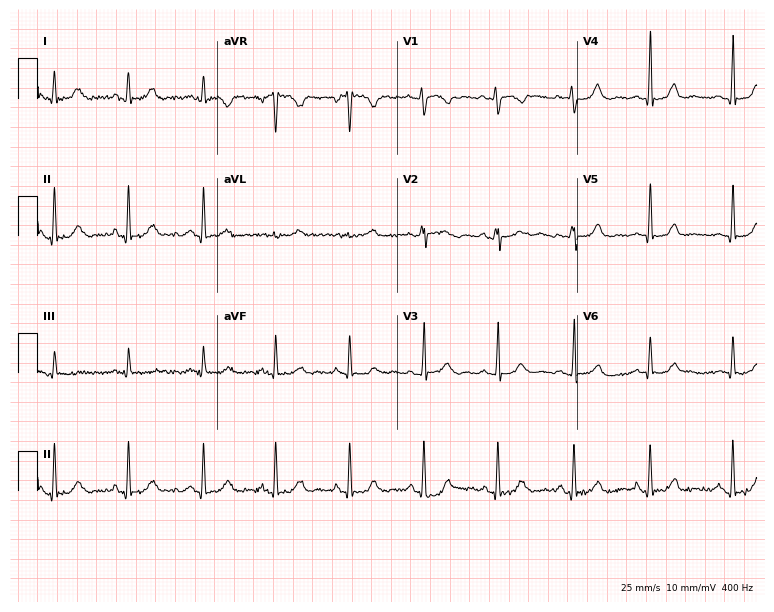
12-lead ECG (7.3-second recording at 400 Hz) from a 35-year-old female. Labelled as a normal ECG.